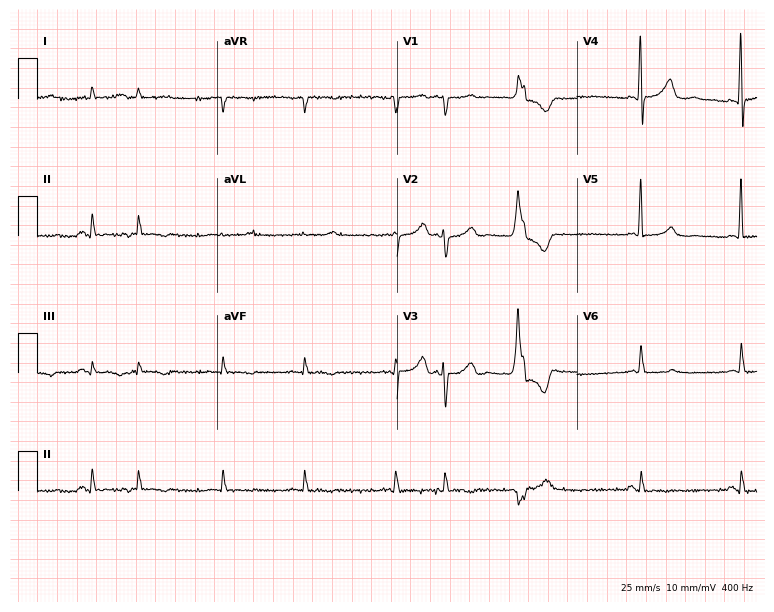
Standard 12-lead ECG recorded from a female patient, 79 years old (7.3-second recording at 400 Hz). The tracing shows atrial fibrillation.